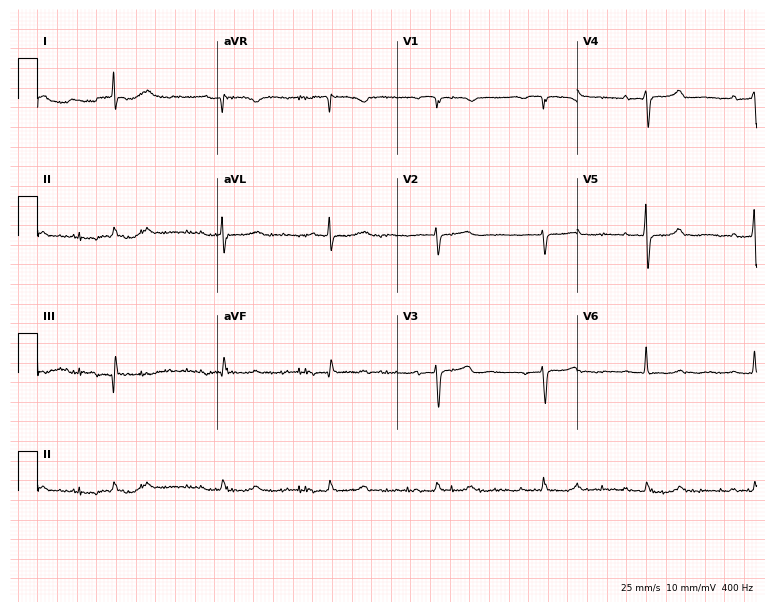
12-lead ECG (7.3-second recording at 400 Hz) from an 86-year-old man. Findings include first-degree AV block.